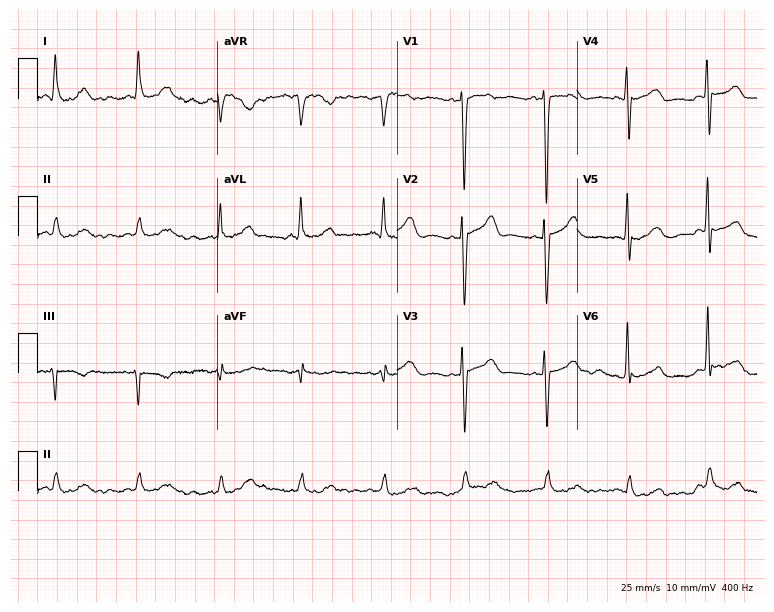
ECG (7.3-second recording at 400 Hz) — a 55-year-old woman. Labelled as a normal ECG.